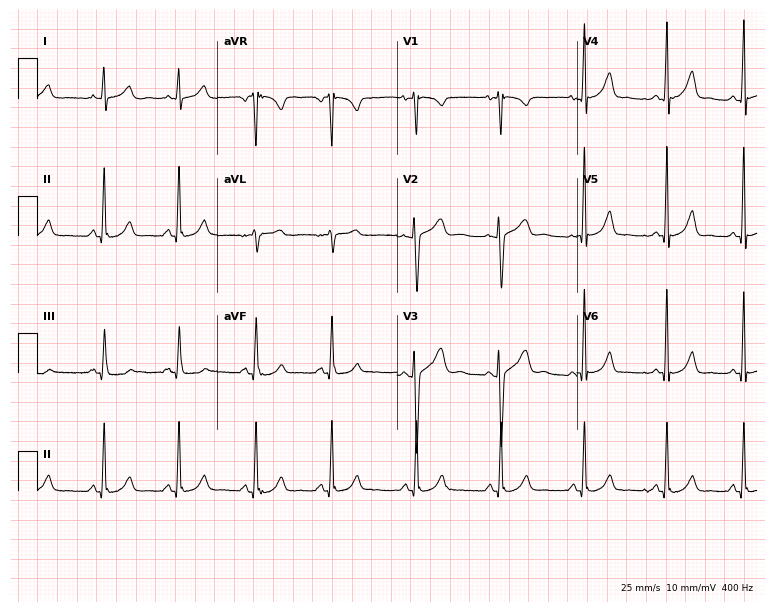
ECG (7.3-second recording at 400 Hz) — a female patient, 22 years old. Labelled as a normal ECG.